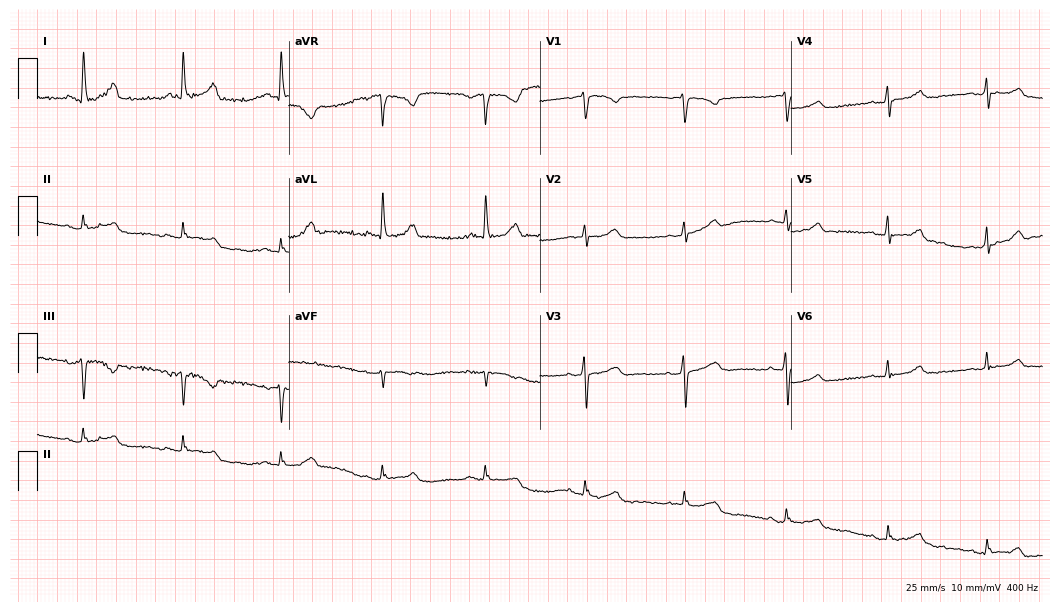
12-lead ECG from a female, 62 years old. No first-degree AV block, right bundle branch block (RBBB), left bundle branch block (LBBB), sinus bradycardia, atrial fibrillation (AF) or sinus tachycardia recorded for this tracing. Other findings, if any, are not listed.